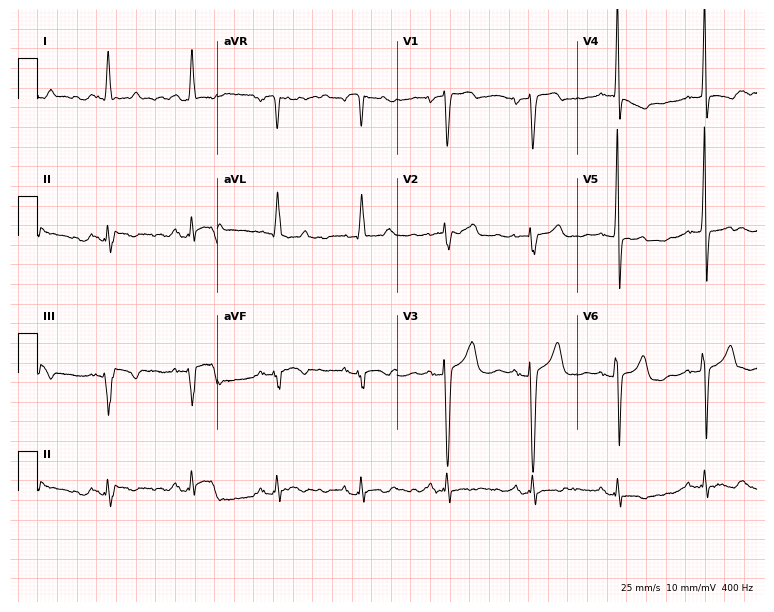
Standard 12-lead ECG recorded from a 49-year-old female (7.3-second recording at 400 Hz). None of these six findings is recorded: first-degree AV block, right bundle branch block, left bundle branch block, sinus bradycardia, atrial fibrillation, sinus tachycardia. Other findings, if any, are not listed.